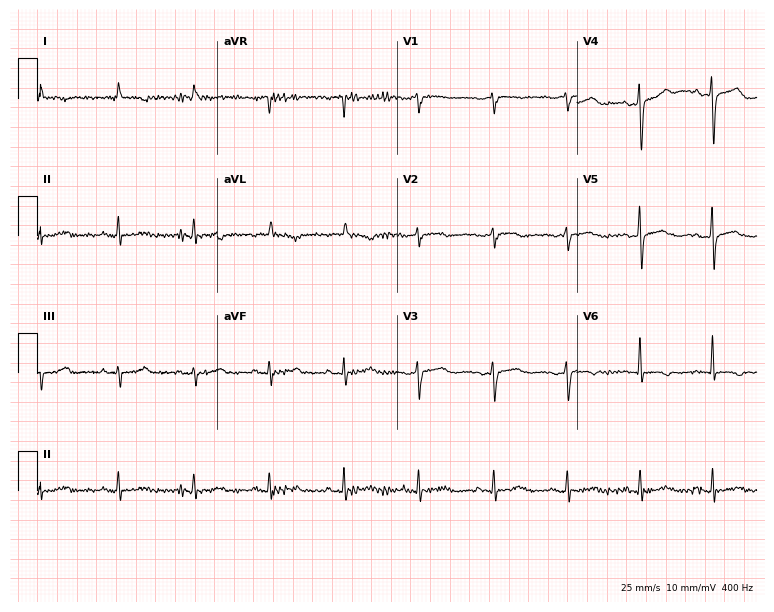
Standard 12-lead ECG recorded from a female, 67 years old (7.3-second recording at 400 Hz). None of these six findings is recorded: first-degree AV block, right bundle branch block, left bundle branch block, sinus bradycardia, atrial fibrillation, sinus tachycardia.